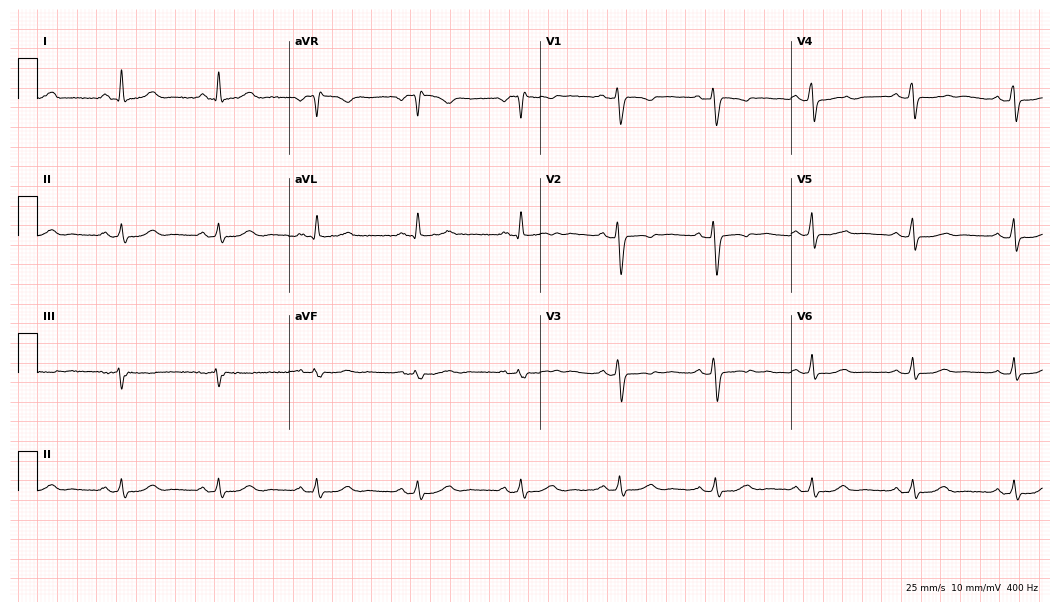
12-lead ECG from a 53-year-old woman. Screened for six findings — first-degree AV block, right bundle branch block, left bundle branch block, sinus bradycardia, atrial fibrillation, sinus tachycardia — none is recorded.